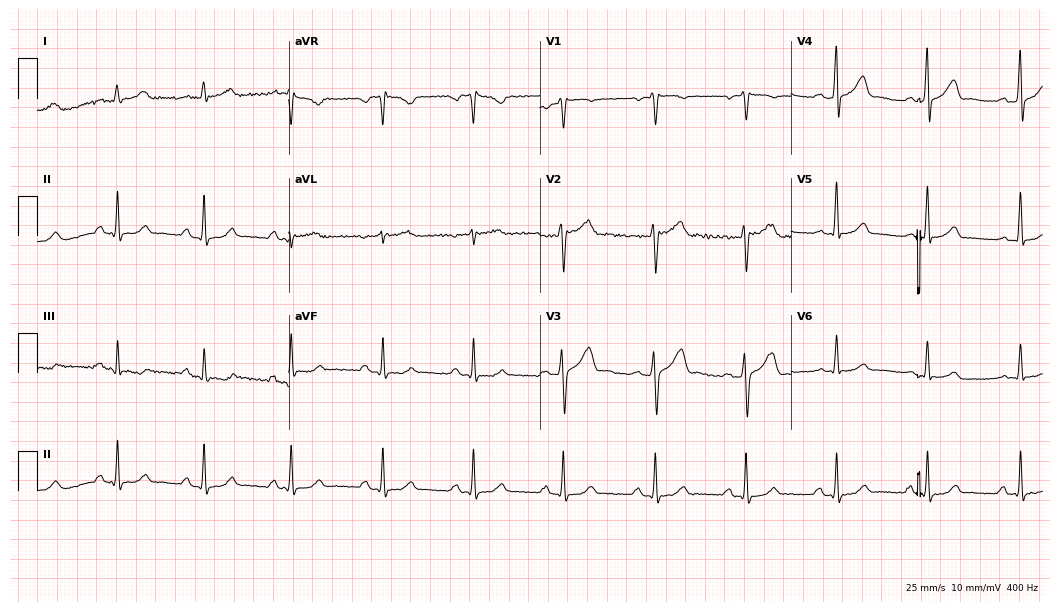
ECG — a 51-year-old male. Screened for six findings — first-degree AV block, right bundle branch block (RBBB), left bundle branch block (LBBB), sinus bradycardia, atrial fibrillation (AF), sinus tachycardia — none is recorded.